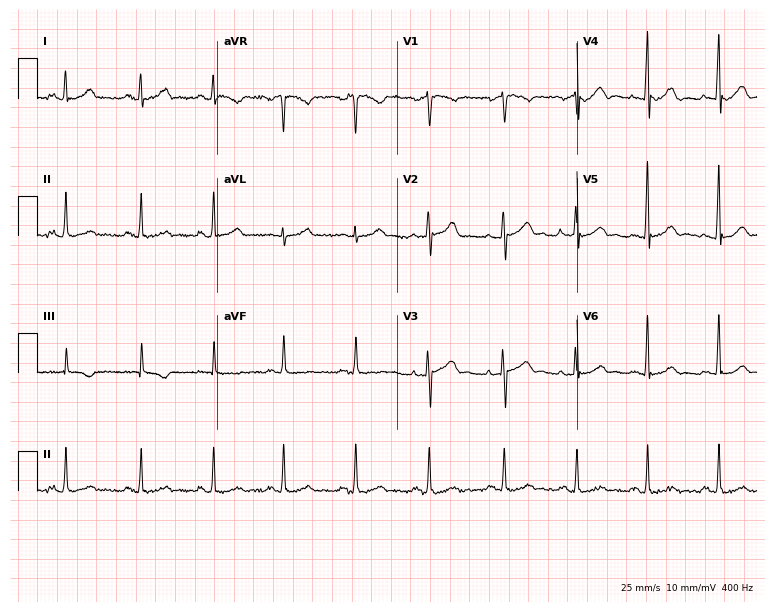
Standard 12-lead ECG recorded from a woman, 51 years old. None of these six findings is recorded: first-degree AV block, right bundle branch block, left bundle branch block, sinus bradycardia, atrial fibrillation, sinus tachycardia. Findings outside these six are not listed.